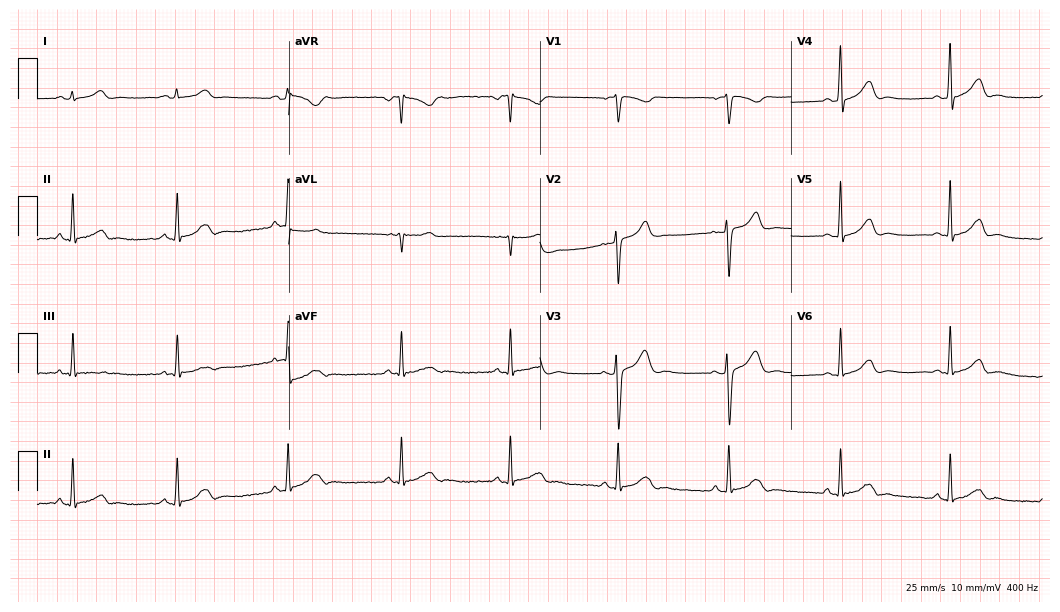
Electrocardiogram (10.2-second recording at 400 Hz), a 22-year-old woman. Overall reading on record: normal ECG.